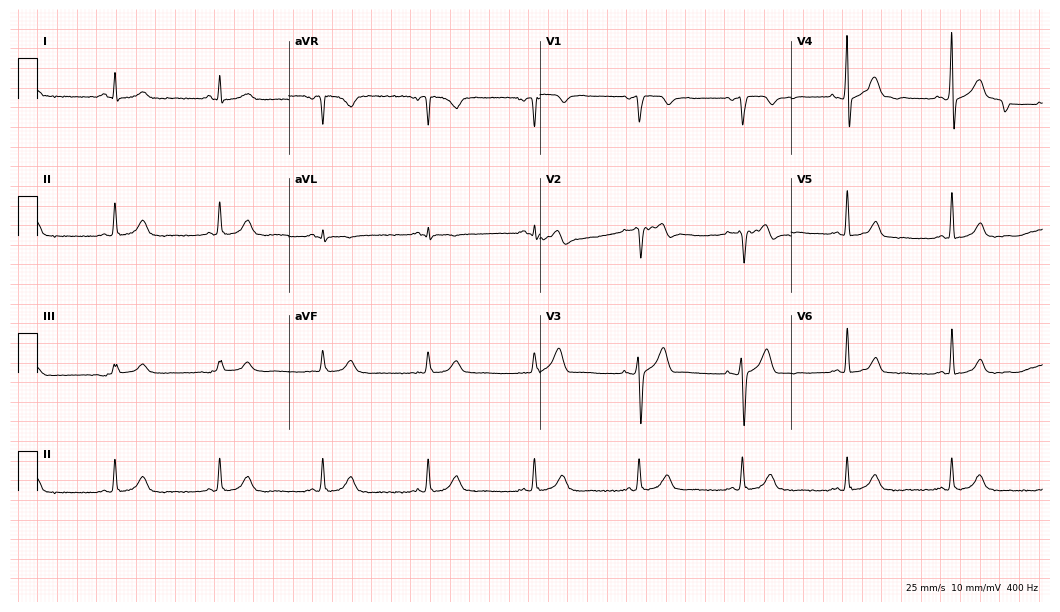
Resting 12-lead electrocardiogram (10.2-second recording at 400 Hz). Patient: a male, 80 years old. Read as a normal ECG.